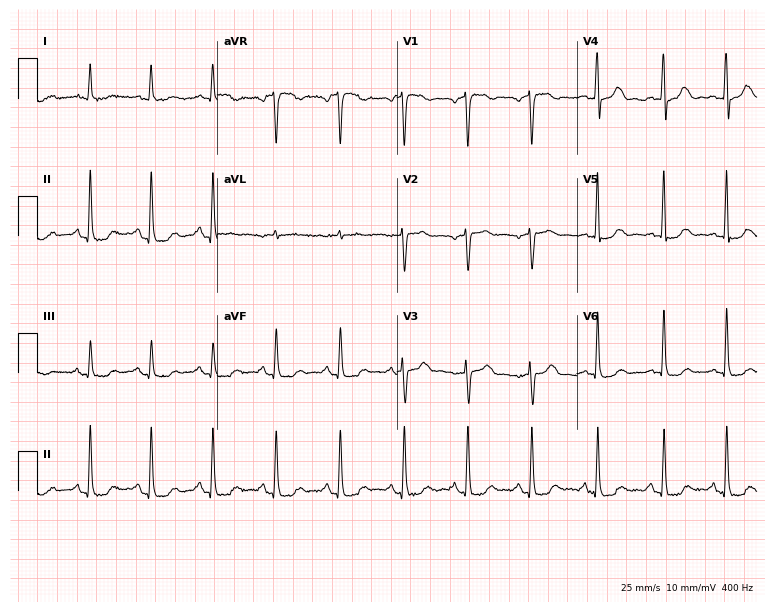
ECG (7.3-second recording at 400 Hz) — a 72-year-old man. Screened for six findings — first-degree AV block, right bundle branch block (RBBB), left bundle branch block (LBBB), sinus bradycardia, atrial fibrillation (AF), sinus tachycardia — none is recorded.